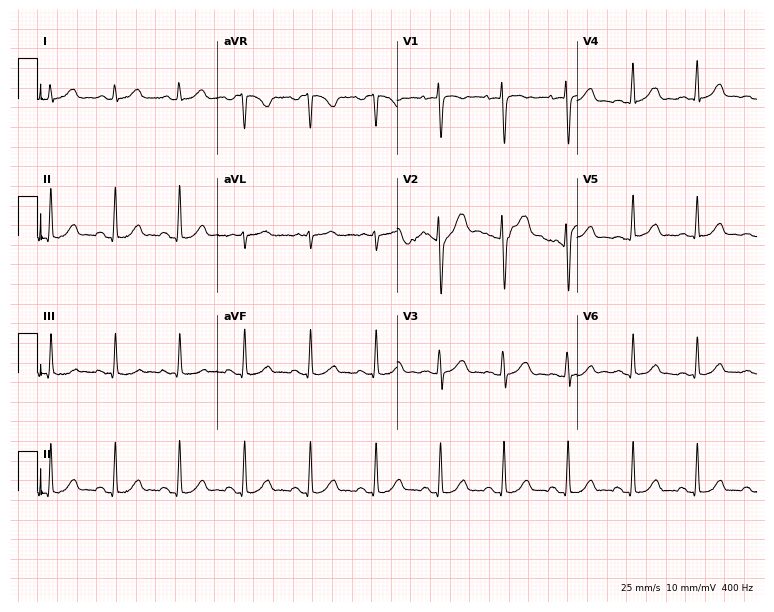
Electrocardiogram (7.3-second recording at 400 Hz), a female, 19 years old. Overall reading on record: normal ECG.